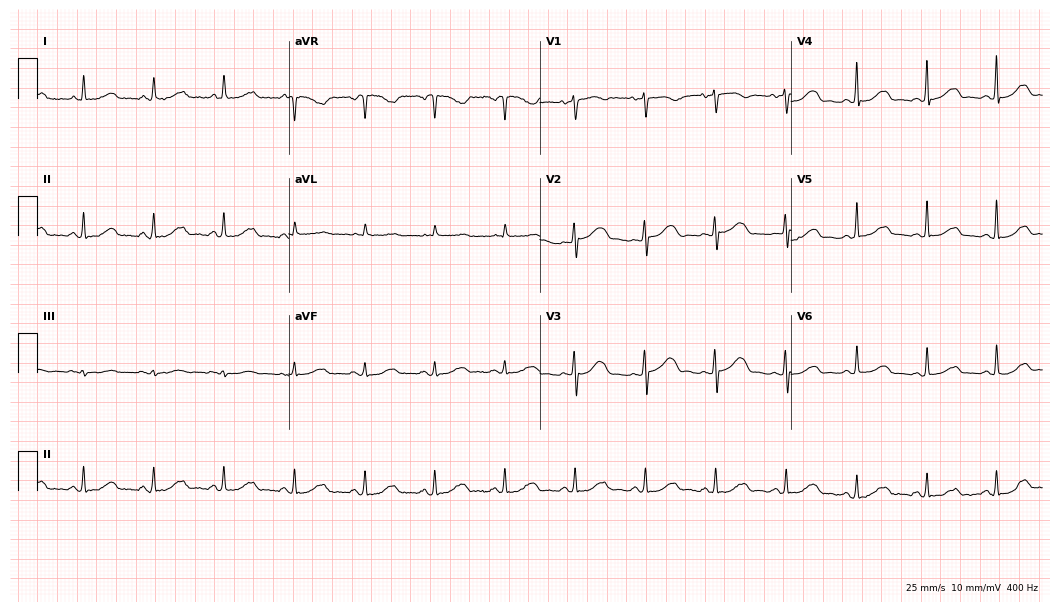
Standard 12-lead ECG recorded from an 84-year-old female. Read as a normal ECG.